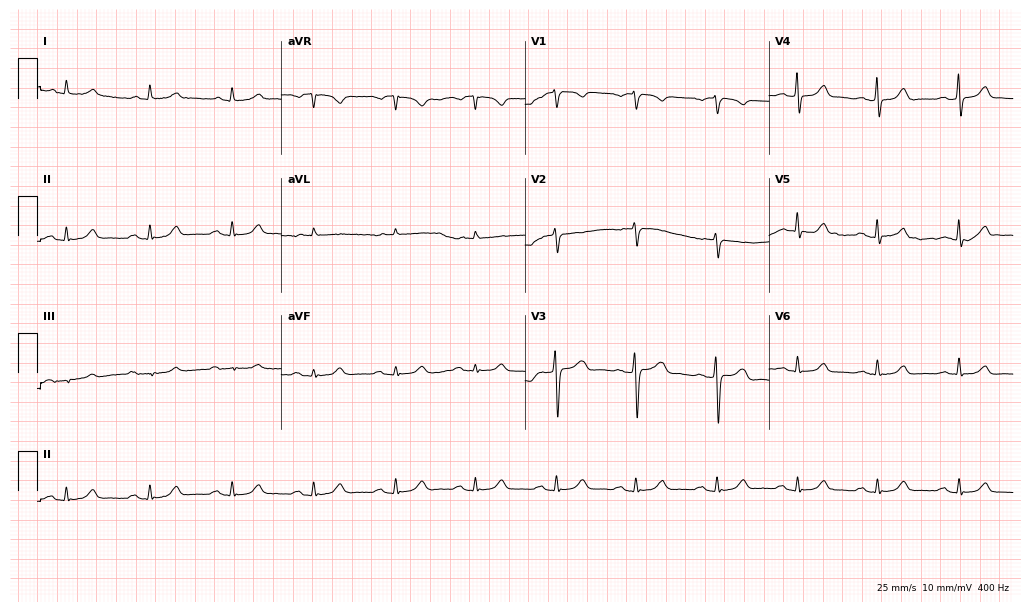
Standard 12-lead ECG recorded from a male, 83 years old. Read as a normal ECG.